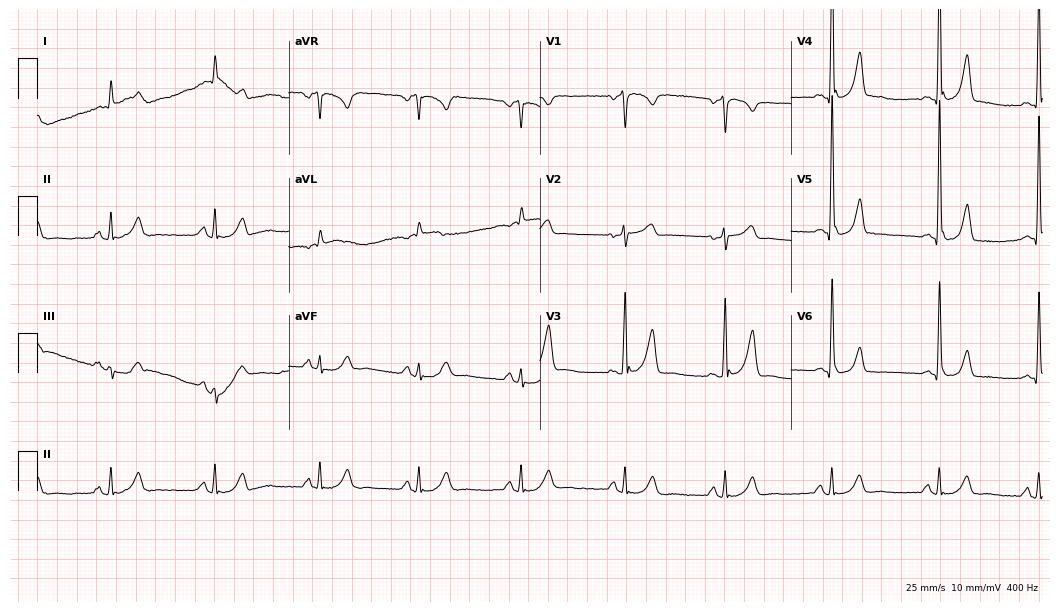
12-lead ECG (10.2-second recording at 400 Hz) from a man, 57 years old. Labelled as a normal ECG.